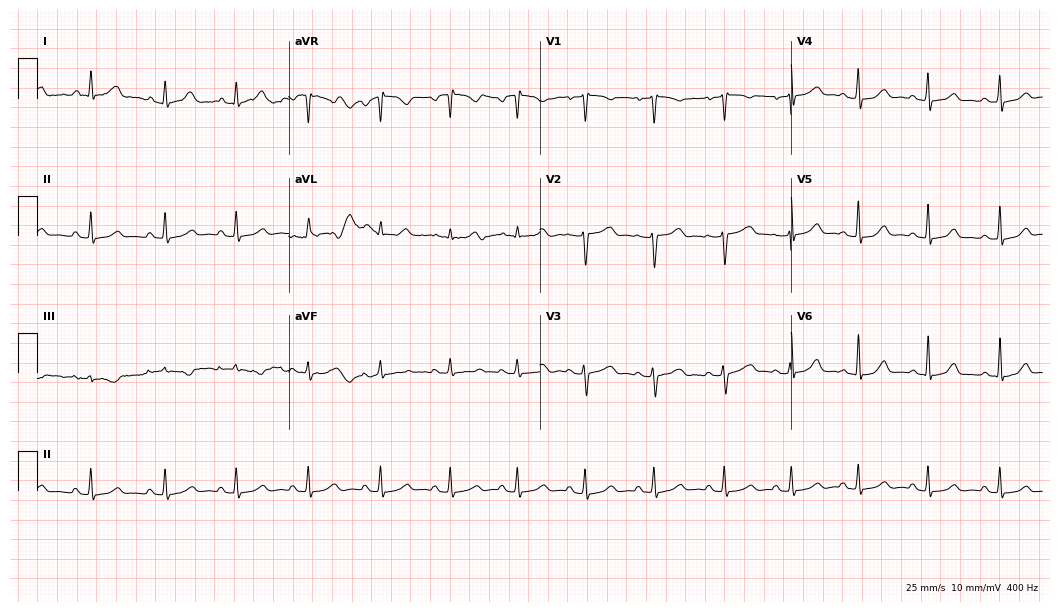
Resting 12-lead electrocardiogram (10.2-second recording at 400 Hz). Patient: a 37-year-old woman. None of these six findings is recorded: first-degree AV block, right bundle branch block, left bundle branch block, sinus bradycardia, atrial fibrillation, sinus tachycardia.